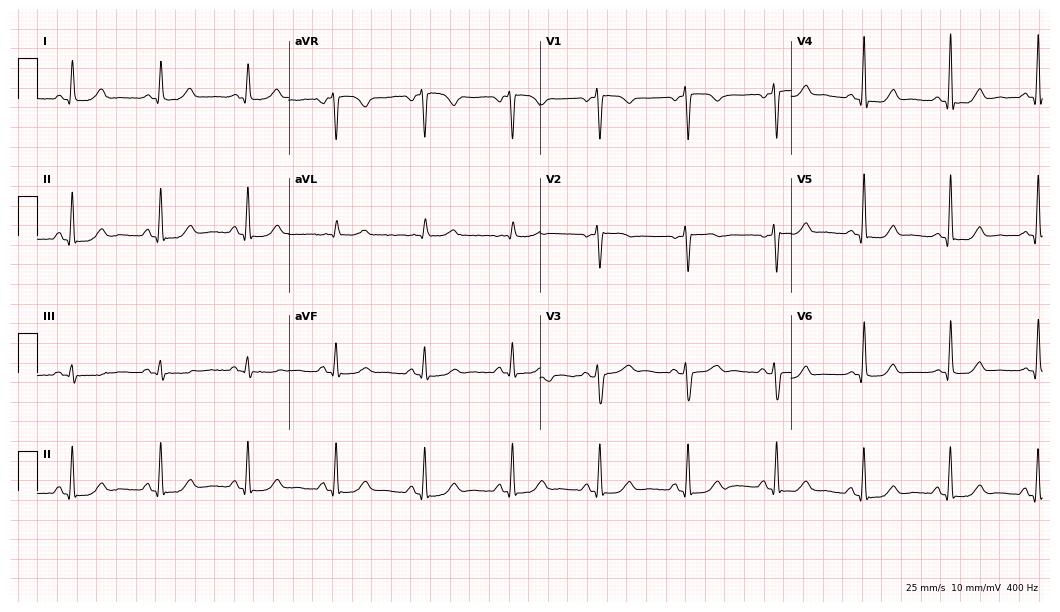
Standard 12-lead ECG recorded from a 56-year-old female patient (10.2-second recording at 400 Hz). Read as a normal ECG.